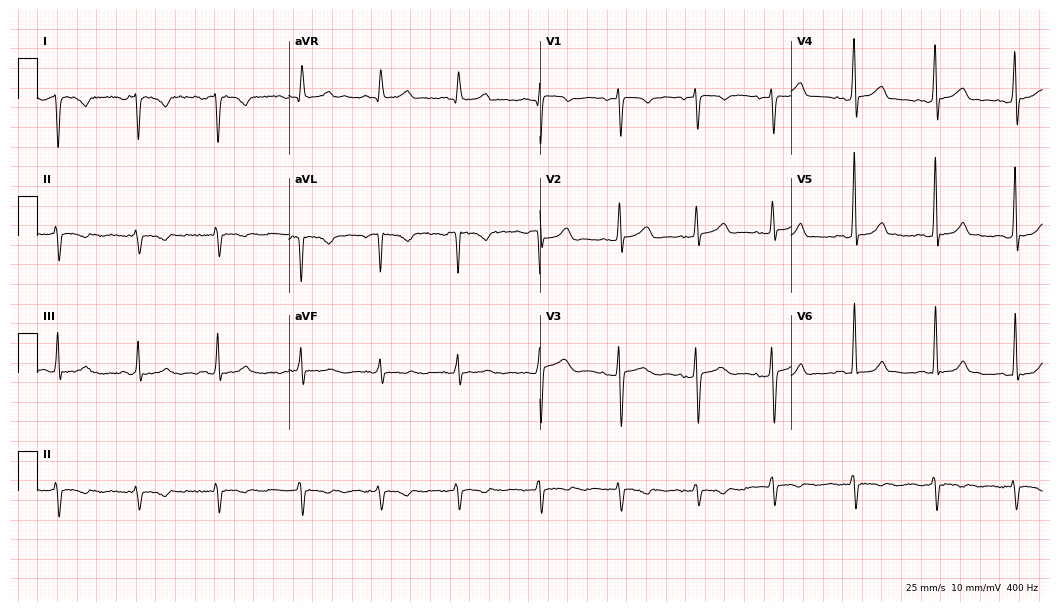
ECG — a female, 40 years old. Screened for six findings — first-degree AV block, right bundle branch block (RBBB), left bundle branch block (LBBB), sinus bradycardia, atrial fibrillation (AF), sinus tachycardia — none is recorded. Only these six findings were labelled.